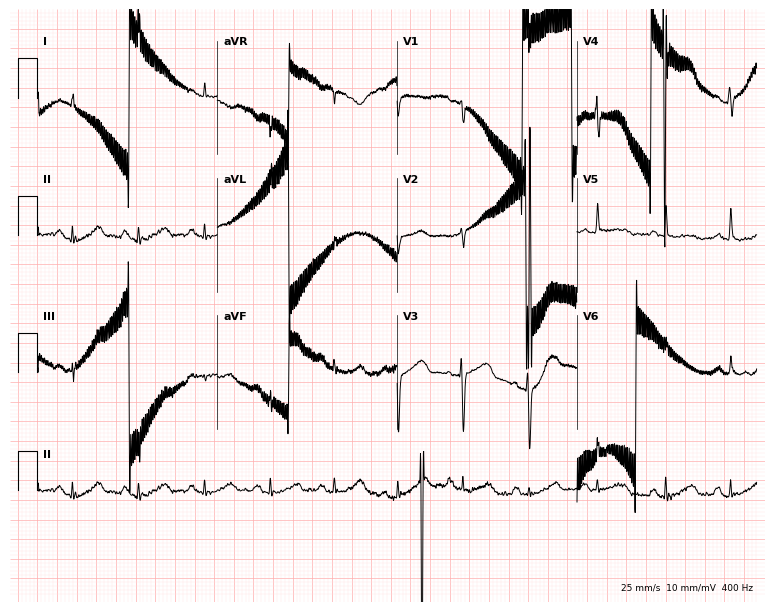
ECG (7.3-second recording at 400 Hz) — a 76-year-old female. Screened for six findings — first-degree AV block, right bundle branch block, left bundle branch block, sinus bradycardia, atrial fibrillation, sinus tachycardia — none is recorded. Other findings, if any, are not listed.